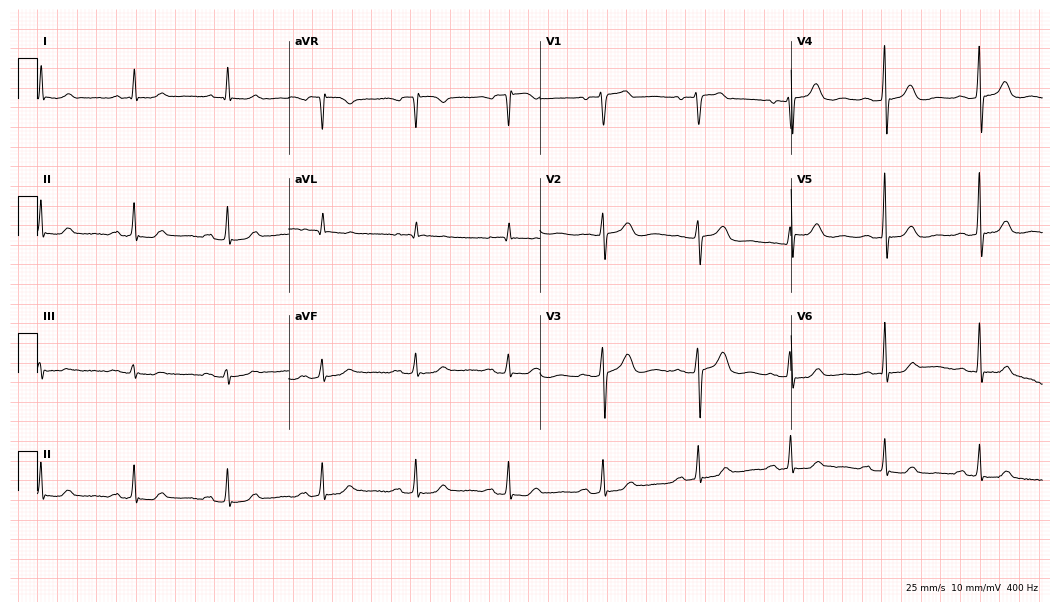
ECG — a 63-year-old female patient. Findings include first-degree AV block.